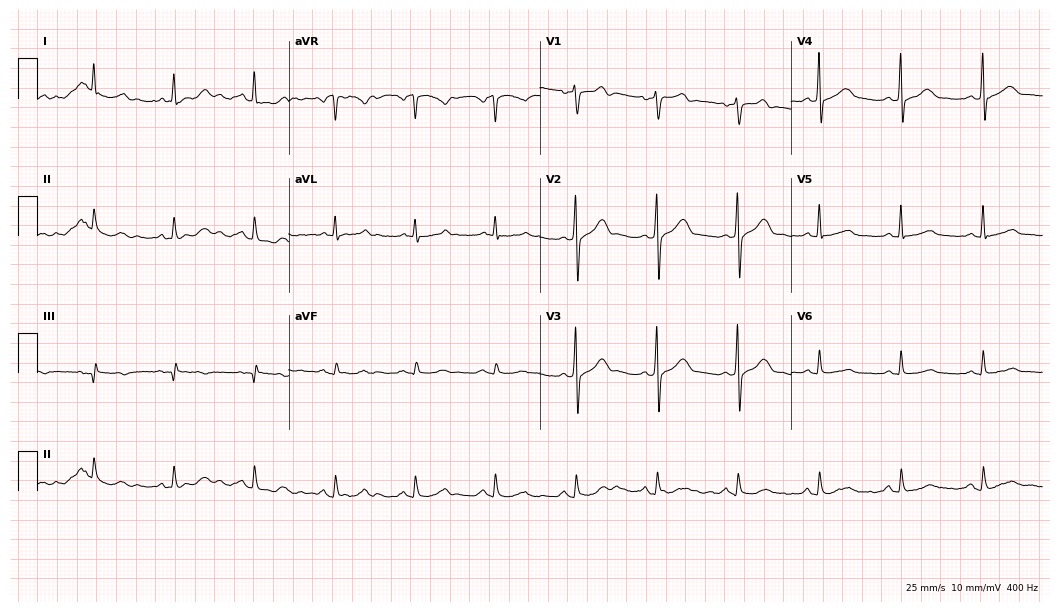
ECG — a 61-year-old male patient. Screened for six findings — first-degree AV block, right bundle branch block (RBBB), left bundle branch block (LBBB), sinus bradycardia, atrial fibrillation (AF), sinus tachycardia — none is recorded. Findings outside these six are not listed.